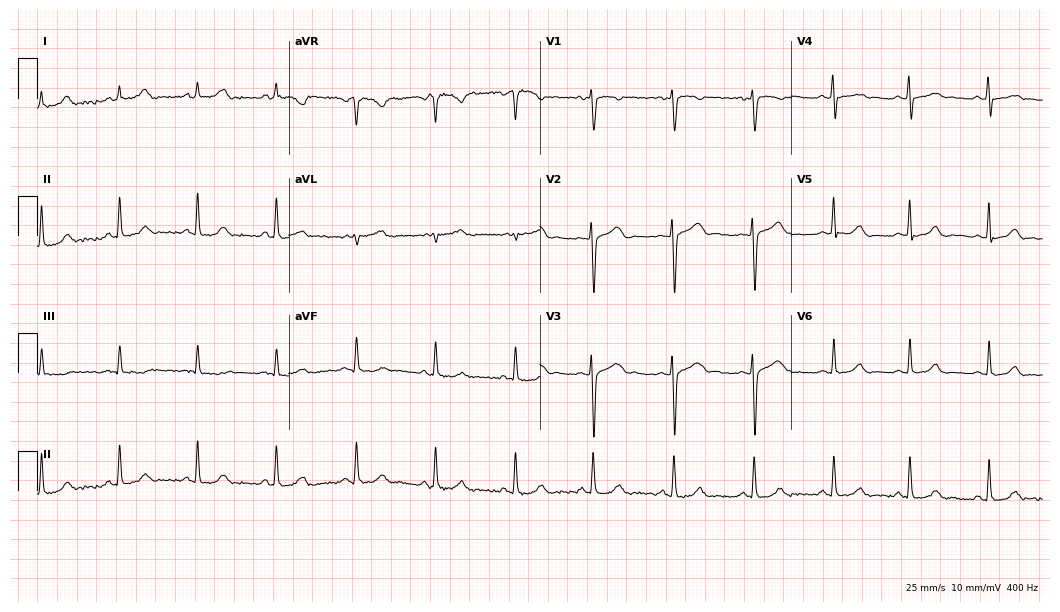
ECG — a woman, 21 years old. Labelled as a normal ECG.